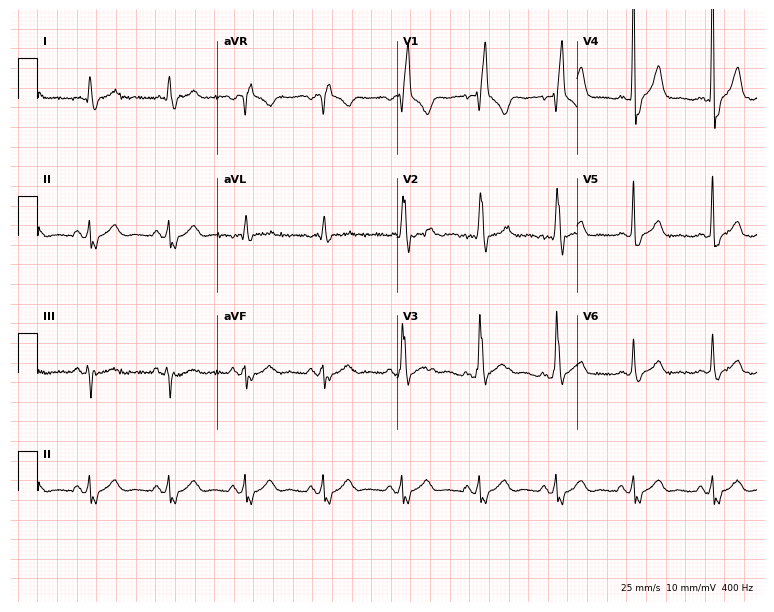
12-lead ECG (7.3-second recording at 400 Hz) from a male, 65 years old. Findings include right bundle branch block.